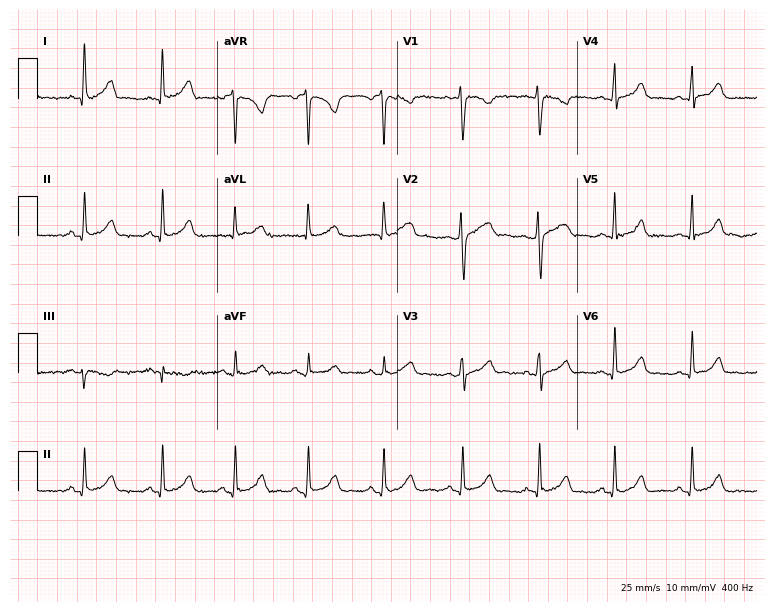
Electrocardiogram, a woman, 36 years old. Overall reading on record: normal ECG.